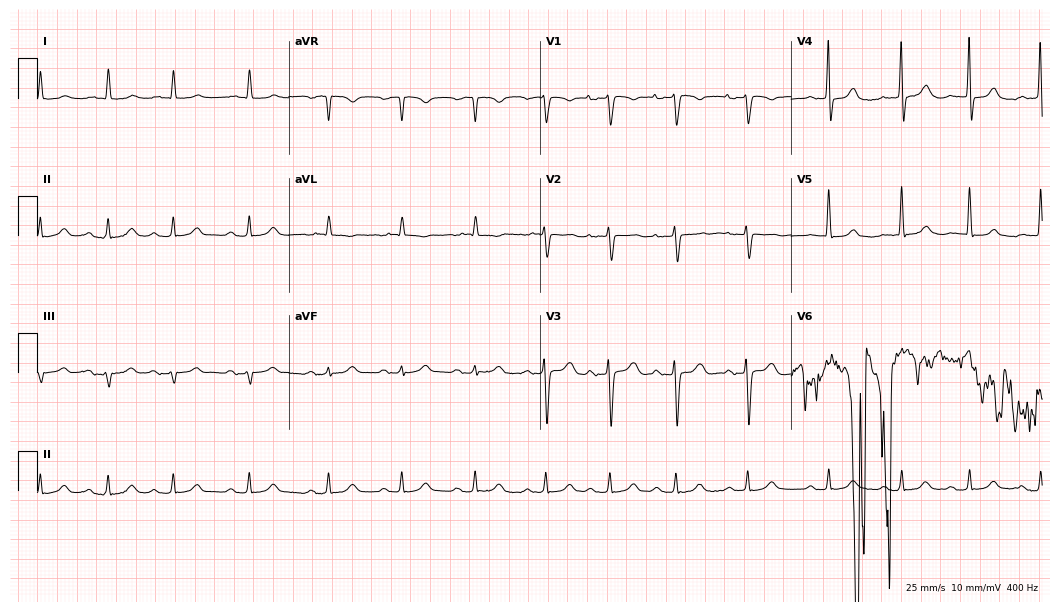
12-lead ECG from a 79-year-old female patient. Labelled as a normal ECG.